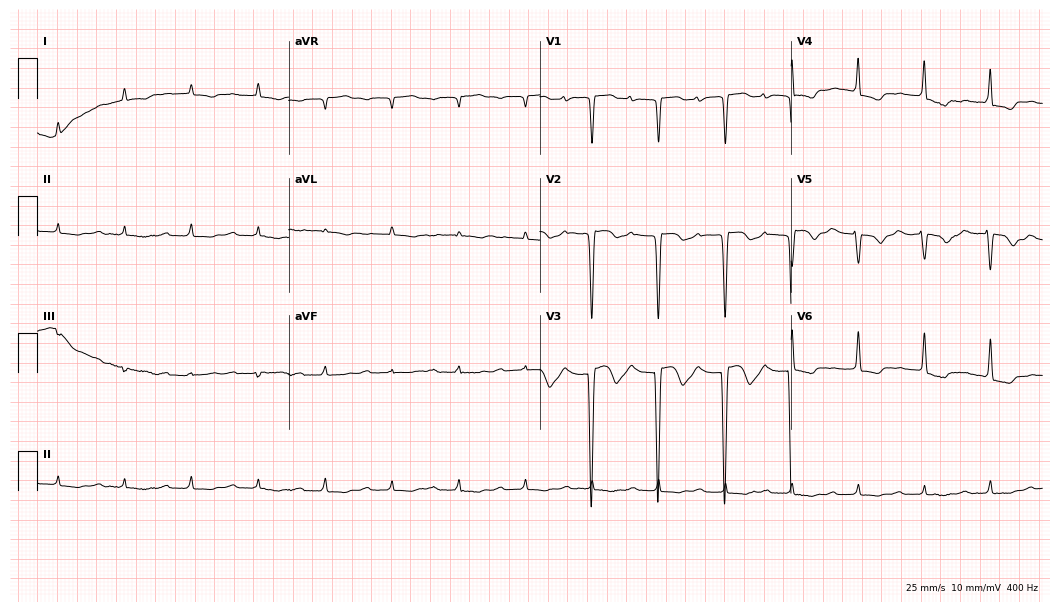
12-lead ECG from a woman, 78 years old (10.2-second recording at 400 Hz). No first-degree AV block, right bundle branch block, left bundle branch block, sinus bradycardia, atrial fibrillation or sinus tachycardia recorded for this tracing.